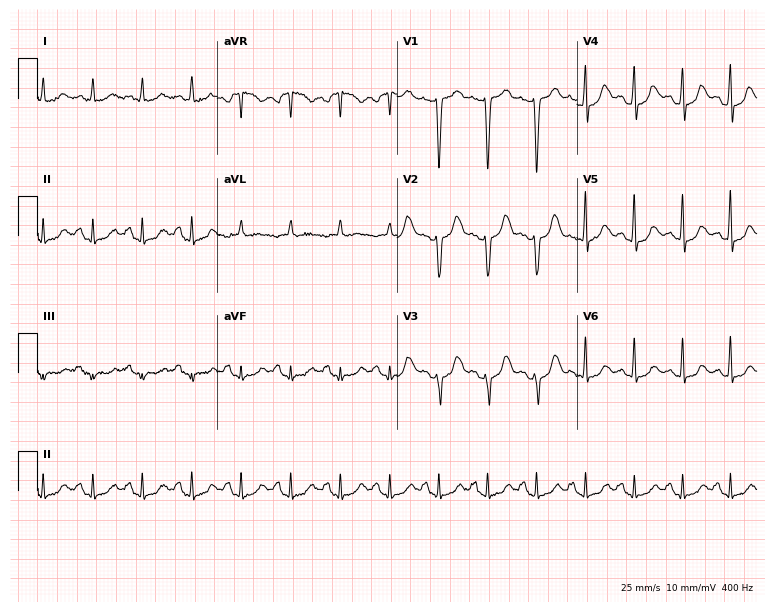
Electrocardiogram (7.3-second recording at 400 Hz), a 48-year-old woman. Interpretation includes sinus tachycardia (a sinus rate of 100 beats per minute or more).